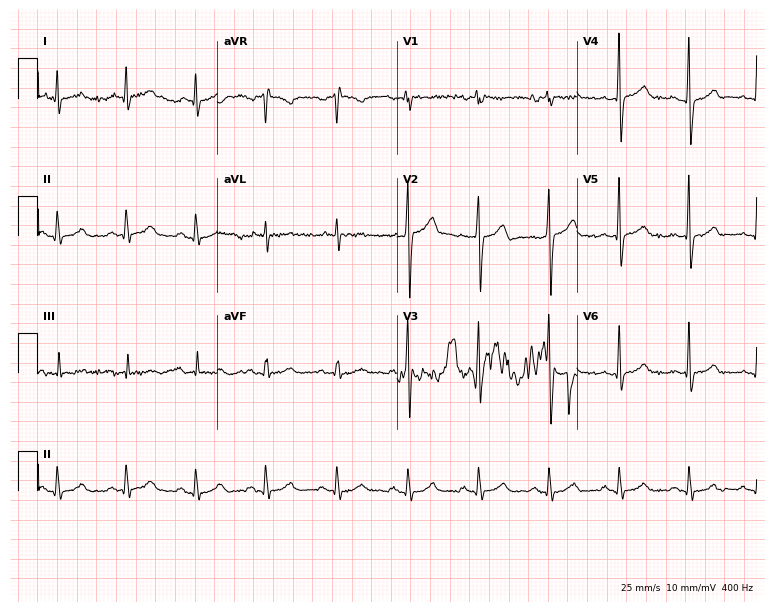
12-lead ECG from a 56-year-old man. No first-degree AV block, right bundle branch block, left bundle branch block, sinus bradycardia, atrial fibrillation or sinus tachycardia recorded for this tracing. Only these six findings were labelled.